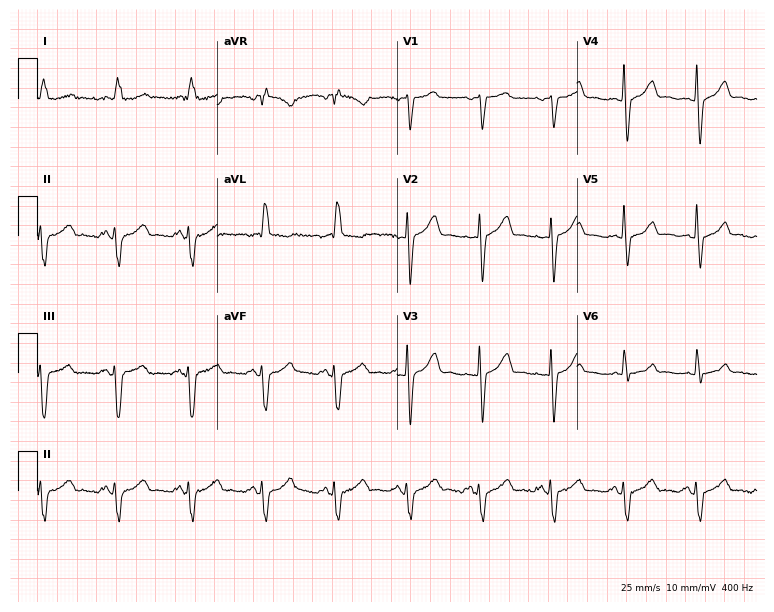
Electrocardiogram (7.3-second recording at 400 Hz), a male, 78 years old. Of the six screened findings (first-degree AV block, right bundle branch block, left bundle branch block, sinus bradycardia, atrial fibrillation, sinus tachycardia), none is recorded. Other findings, if any, are not listed.